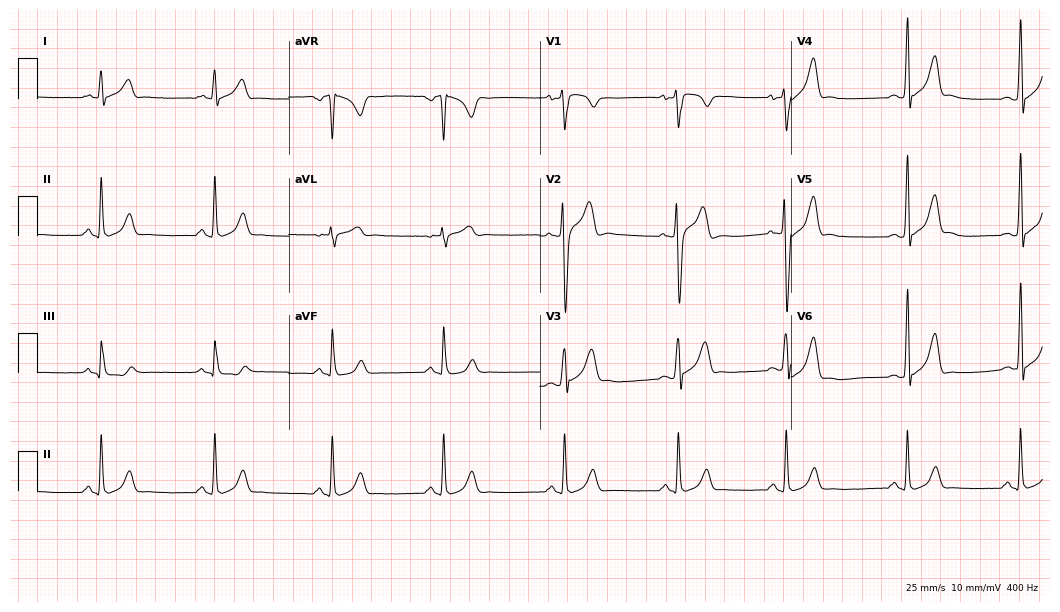
12-lead ECG from a 25-year-old male patient (10.2-second recording at 400 Hz). No first-degree AV block, right bundle branch block, left bundle branch block, sinus bradycardia, atrial fibrillation or sinus tachycardia recorded for this tracing. Only these six findings were labelled.